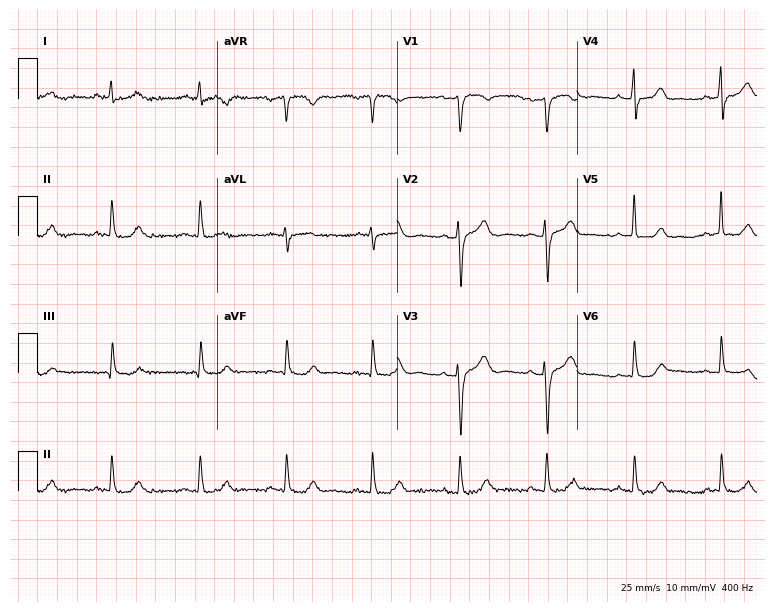
12-lead ECG from a woman, 49 years old. Labelled as a normal ECG.